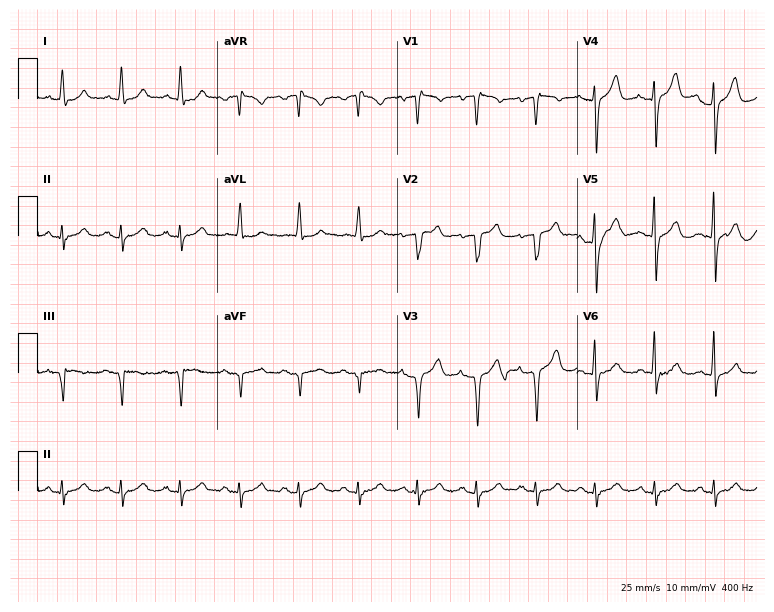
ECG (7.3-second recording at 400 Hz) — a male, 79 years old. Screened for six findings — first-degree AV block, right bundle branch block, left bundle branch block, sinus bradycardia, atrial fibrillation, sinus tachycardia — none is recorded.